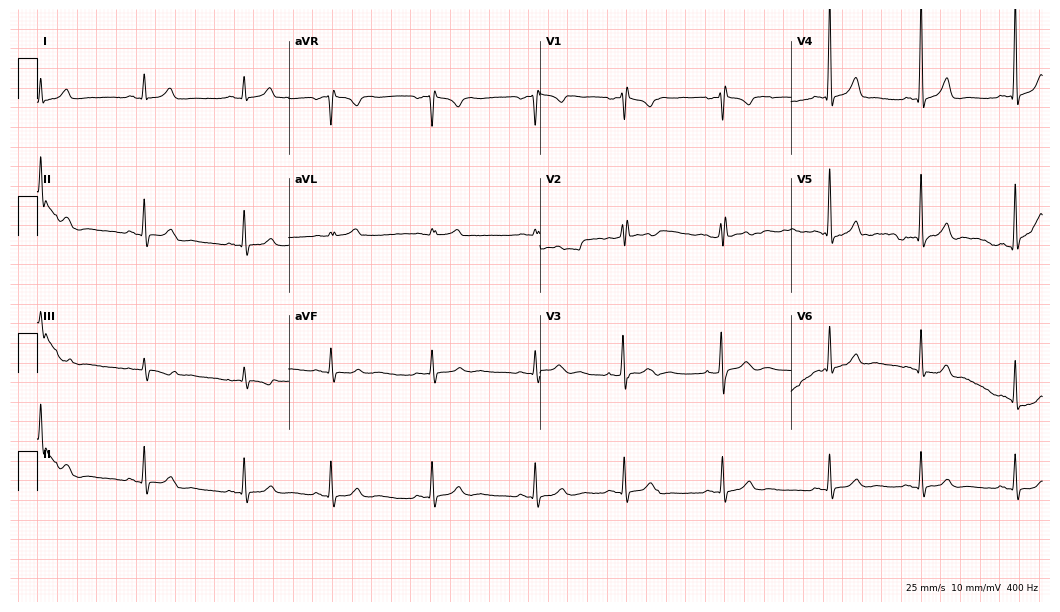
Electrocardiogram, a female patient, 25 years old. Of the six screened findings (first-degree AV block, right bundle branch block, left bundle branch block, sinus bradycardia, atrial fibrillation, sinus tachycardia), none is recorded. Other findings, if any, are not listed.